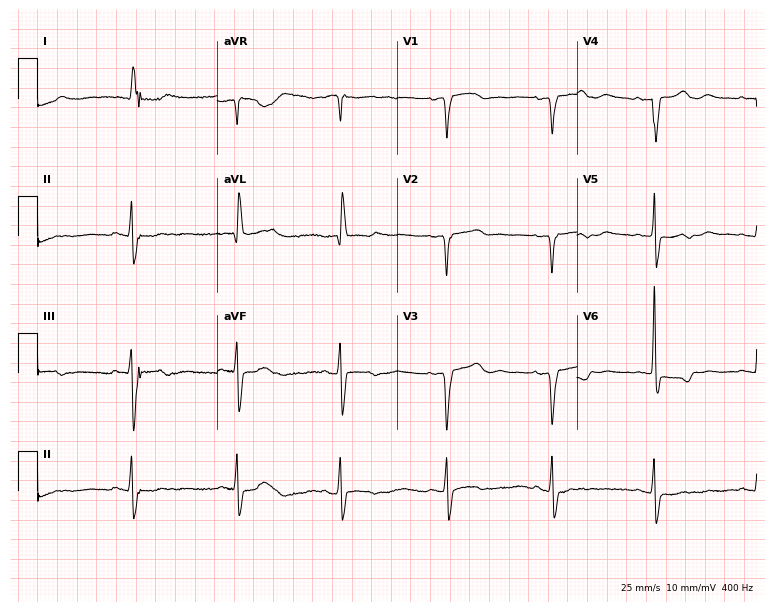
Resting 12-lead electrocardiogram (7.3-second recording at 400 Hz). Patient: a woman, 83 years old. None of these six findings is recorded: first-degree AV block, right bundle branch block, left bundle branch block, sinus bradycardia, atrial fibrillation, sinus tachycardia. Other findings, if any, are not listed.